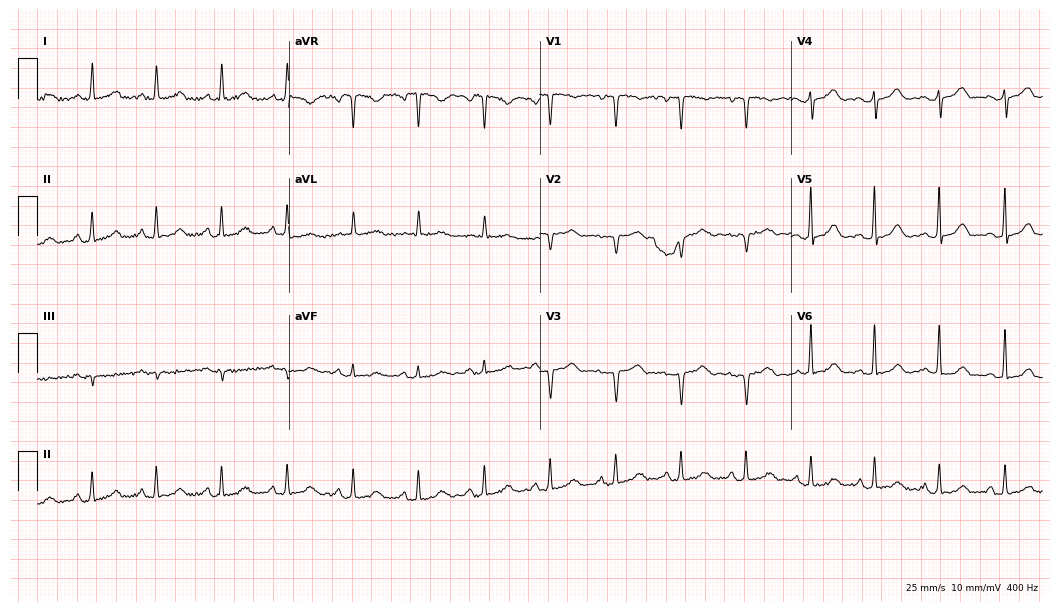
12-lead ECG (10.2-second recording at 400 Hz) from a female, 54 years old. Screened for six findings — first-degree AV block, right bundle branch block, left bundle branch block, sinus bradycardia, atrial fibrillation, sinus tachycardia — none is recorded.